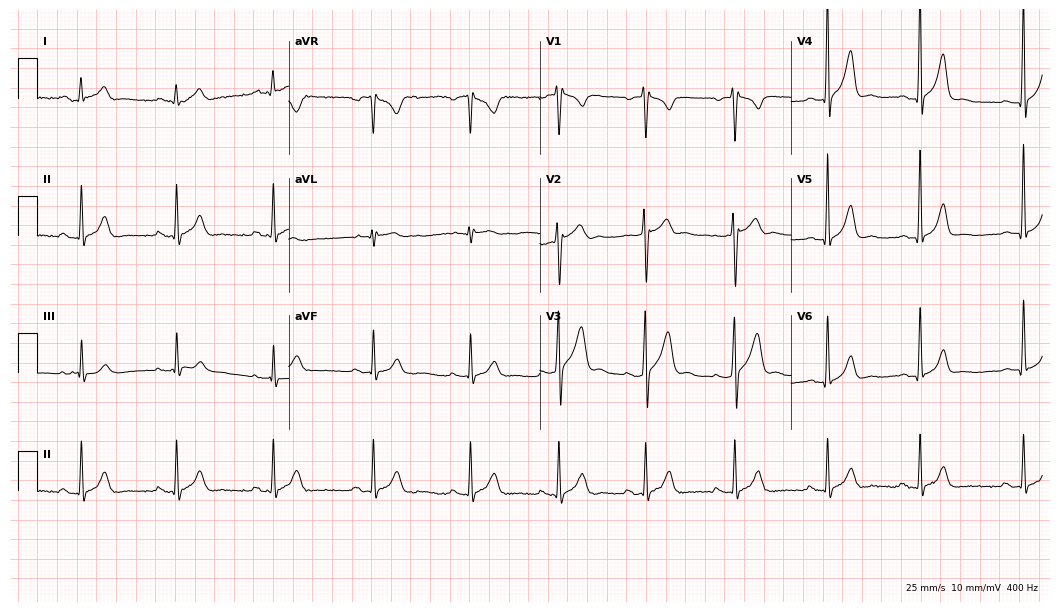
Resting 12-lead electrocardiogram (10.2-second recording at 400 Hz). Patient: a 31-year-old male. Read as a normal ECG.